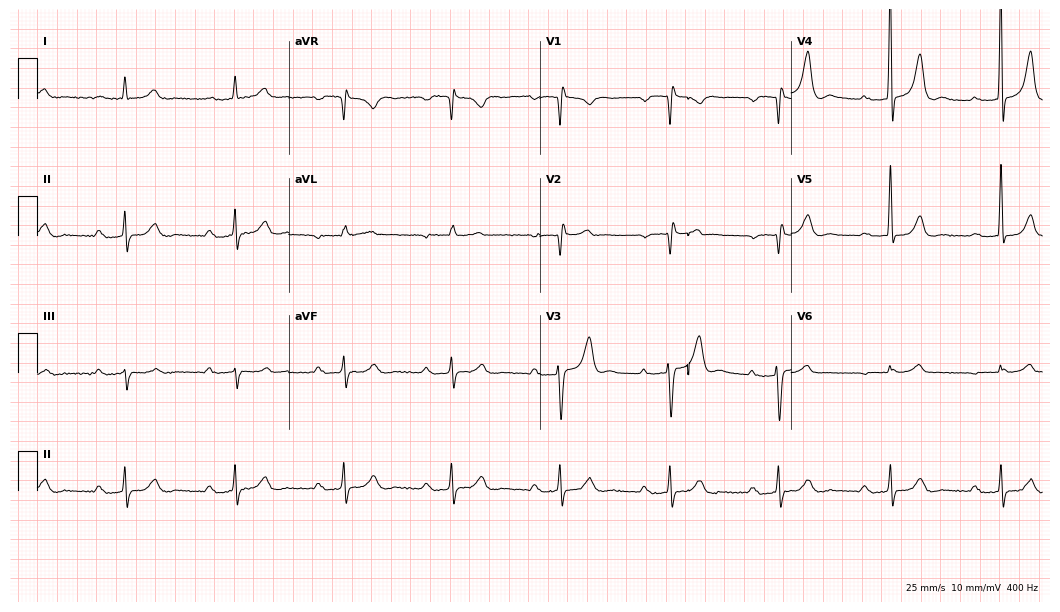
ECG — an 84-year-old man. Findings include first-degree AV block.